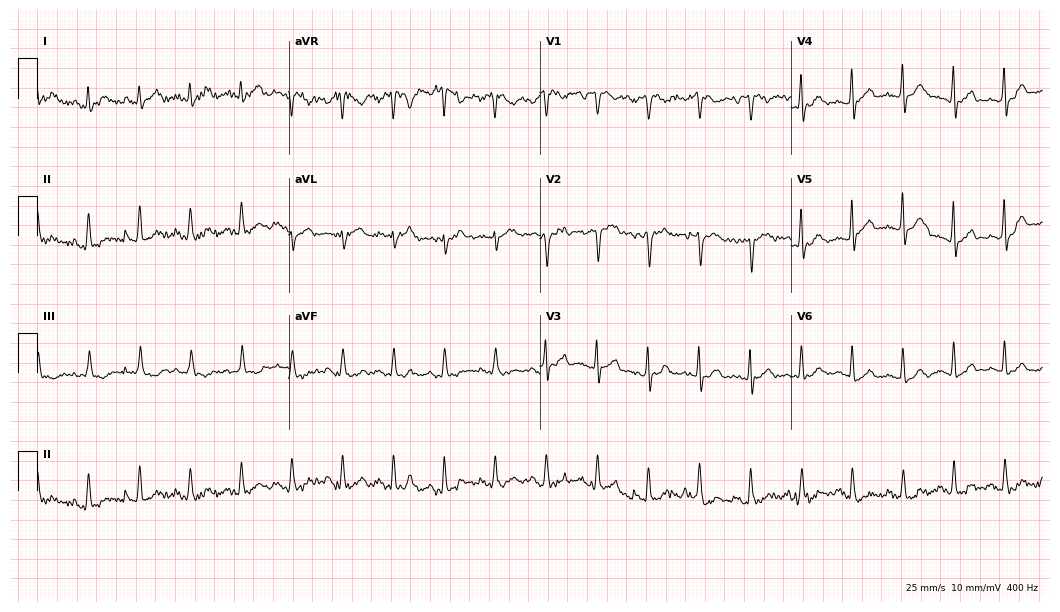
Electrocardiogram, a 60-year-old male patient. Interpretation includes sinus tachycardia (a sinus rate of 100 beats per minute or more).